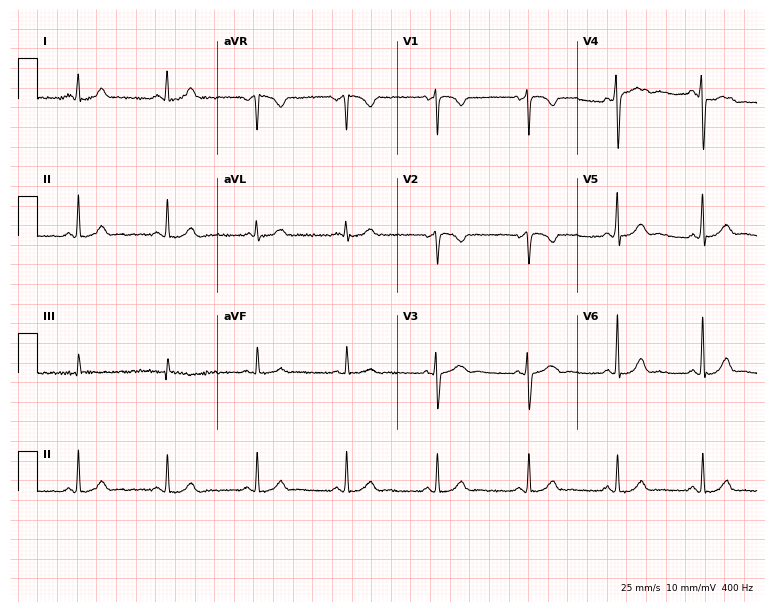
Electrocardiogram, a 22-year-old female patient. Overall reading on record: normal ECG.